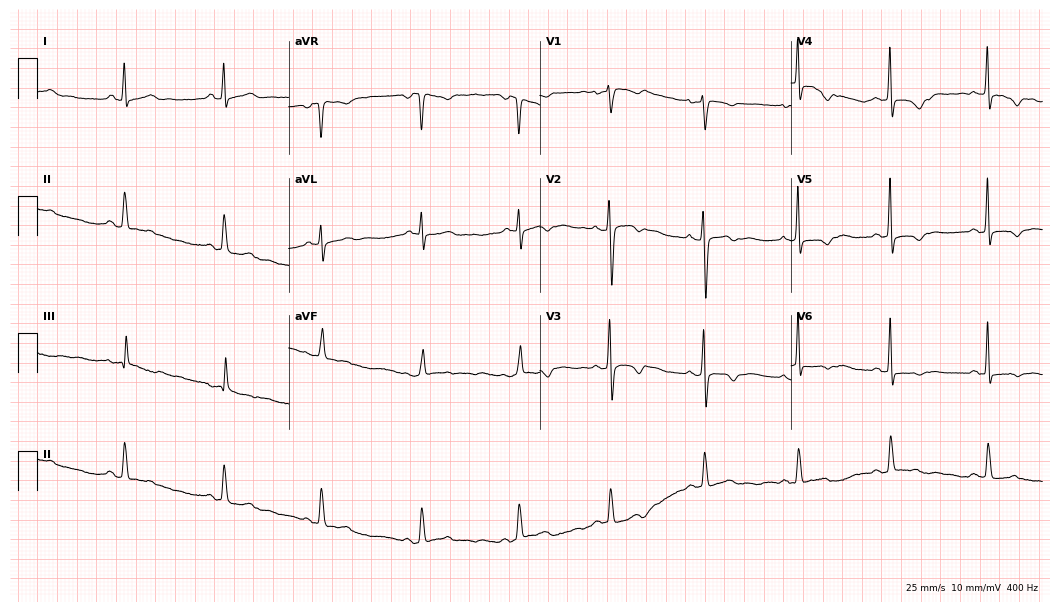
Resting 12-lead electrocardiogram (10.2-second recording at 400 Hz). Patient: a female, 46 years old. None of these six findings is recorded: first-degree AV block, right bundle branch block, left bundle branch block, sinus bradycardia, atrial fibrillation, sinus tachycardia.